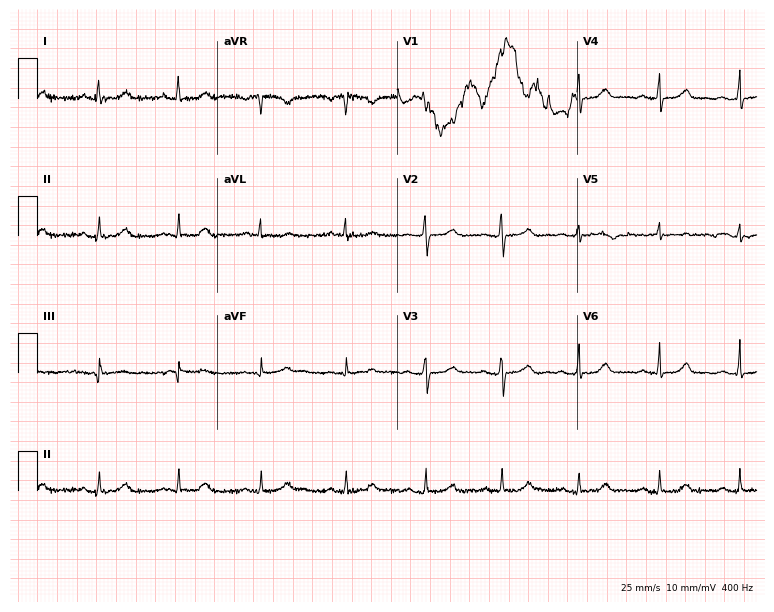
12-lead ECG (7.3-second recording at 400 Hz) from a woman, 55 years old. Screened for six findings — first-degree AV block, right bundle branch block, left bundle branch block, sinus bradycardia, atrial fibrillation, sinus tachycardia — none is recorded. Other findings, if any, are not listed.